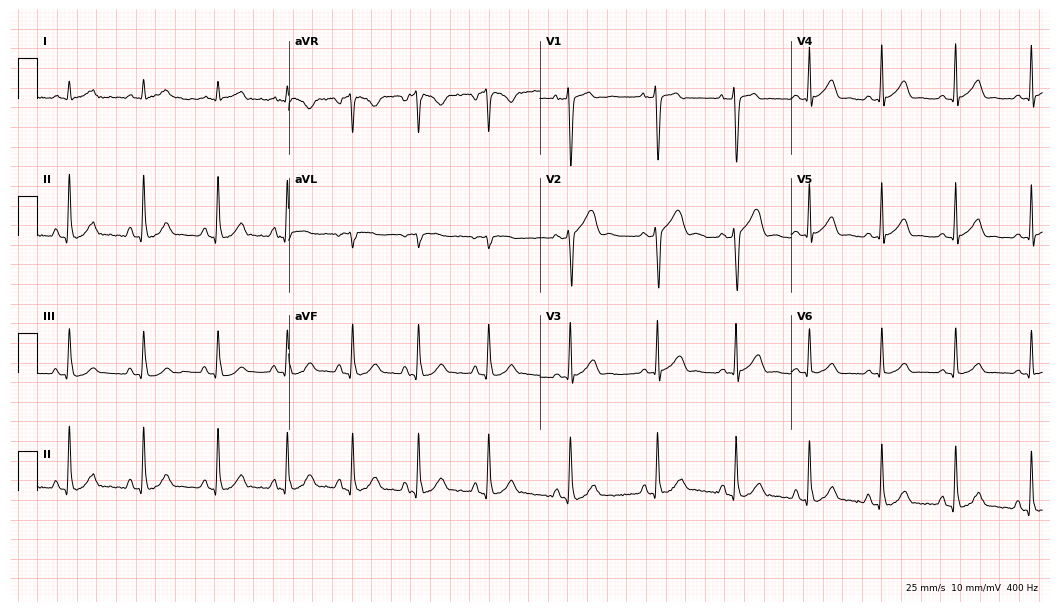
12-lead ECG from a 25-year-old male patient. Recorded interpretation: within normal limits.